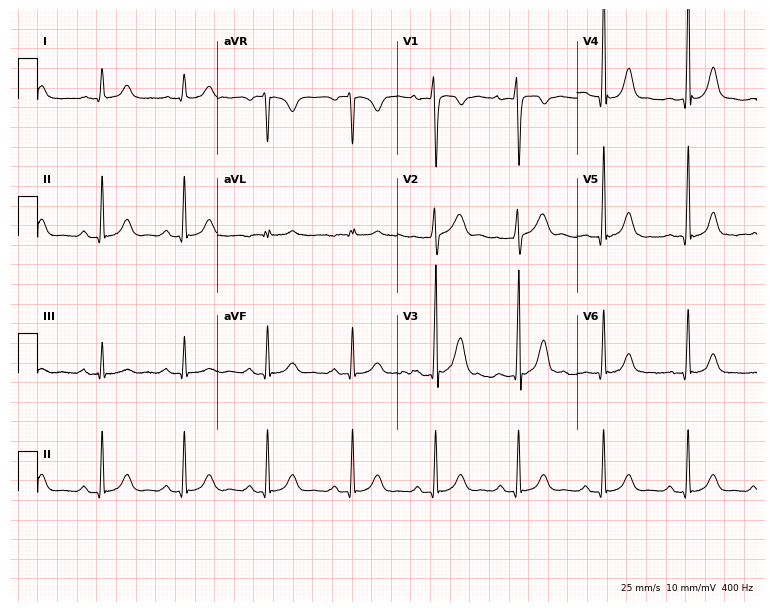
Resting 12-lead electrocardiogram. Patient: a male, 30 years old. Read as a normal ECG.